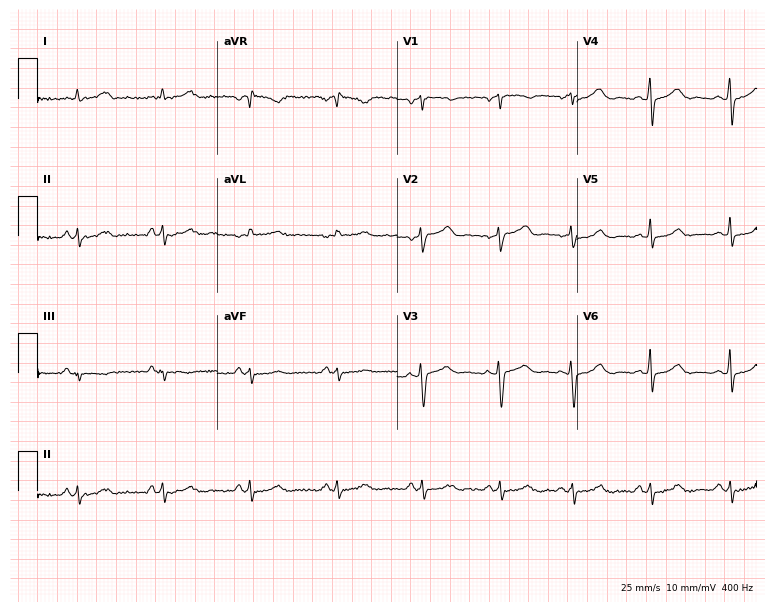
Resting 12-lead electrocardiogram. Patient: a female, 38 years old. None of these six findings is recorded: first-degree AV block, right bundle branch block, left bundle branch block, sinus bradycardia, atrial fibrillation, sinus tachycardia. Findings outside these six are not listed.